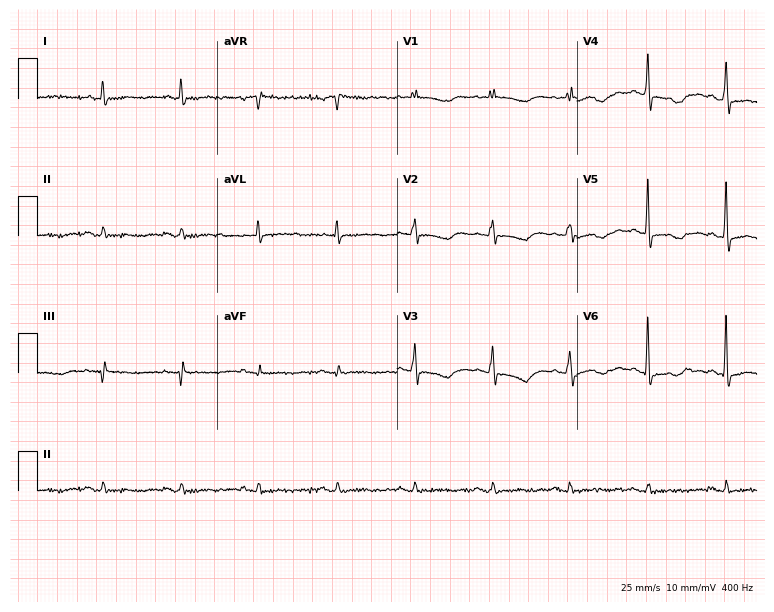
12-lead ECG from a 77-year-old woman. No first-degree AV block, right bundle branch block, left bundle branch block, sinus bradycardia, atrial fibrillation or sinus tachycardia recorded for this tracing. Other findings, if any, are not listed.